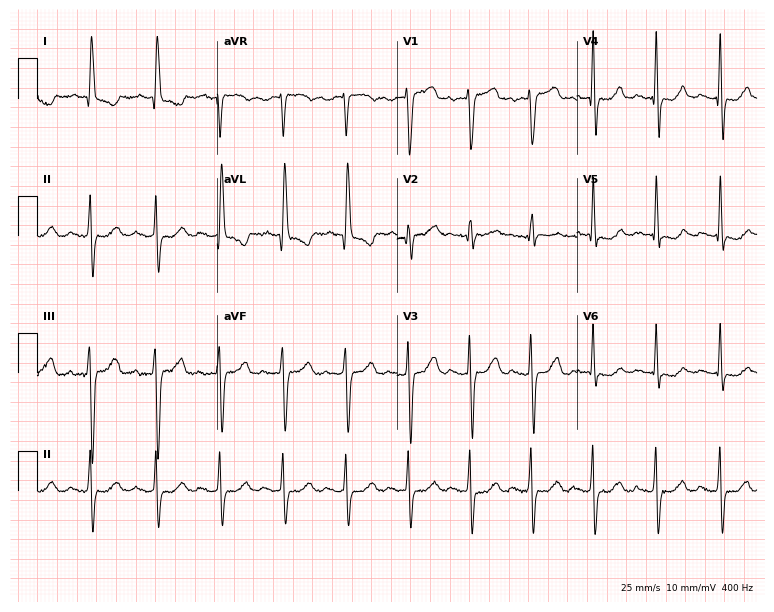
12-lead ECG (7.3-second recording at 400 Hz) from a 79-year-old woman. Screened for six findings — first-degree AV block, right bundle branch block, left bundle branch block, sinus bradycardia, atrial fibrillation, sinus tachycardia — none is recorded.